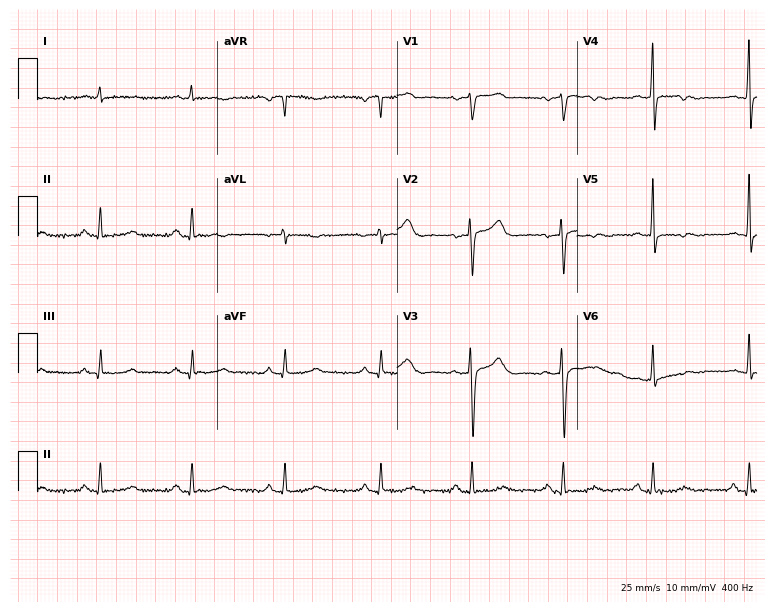
12-lead ECG from a 64-year-old male. No first-degree AV block, right bundle branch block (RBBB), left bundle branch block (LBBB), sinus bradycardia, atrial fibrillation (AF) or sinus tachycardia recorded for this tracing.